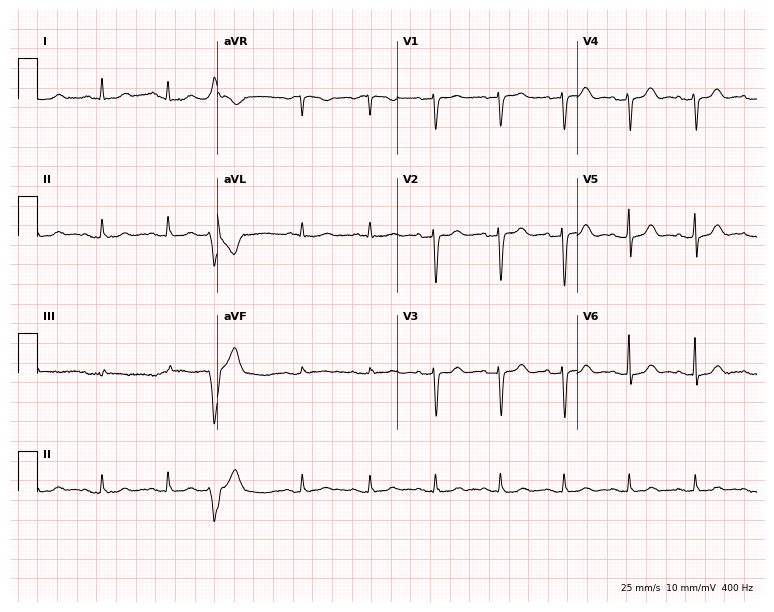
12-lead ECG from a female patient, 77 years old. Screened for six findings — first-degree AV block, right bundle branch block (RBBB), left bundle branch block (LBBB), sinus bradycardia, atrial fibrillation (AF), sinus tachycardia — none is recorded.